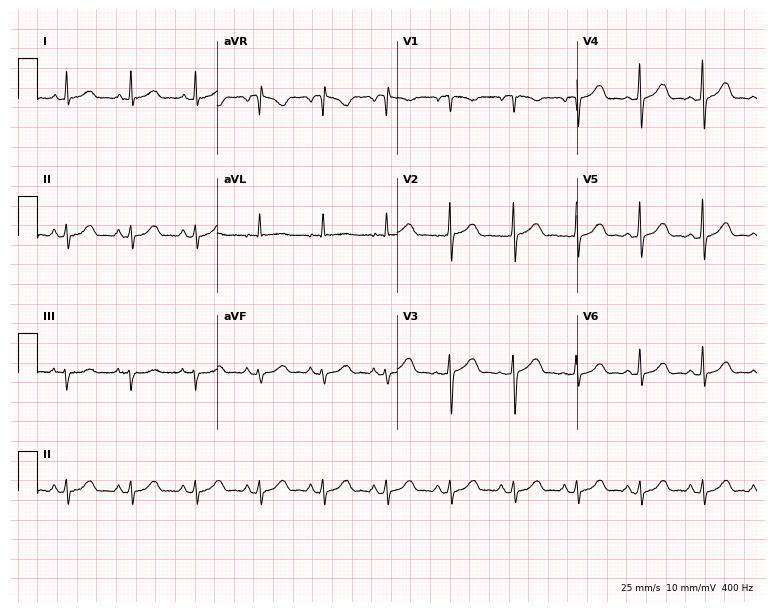
Electrocardiogram (7.3-second recording at 400 Hz), a 58-year-old female patient. Overall reading on record: normal ECG.